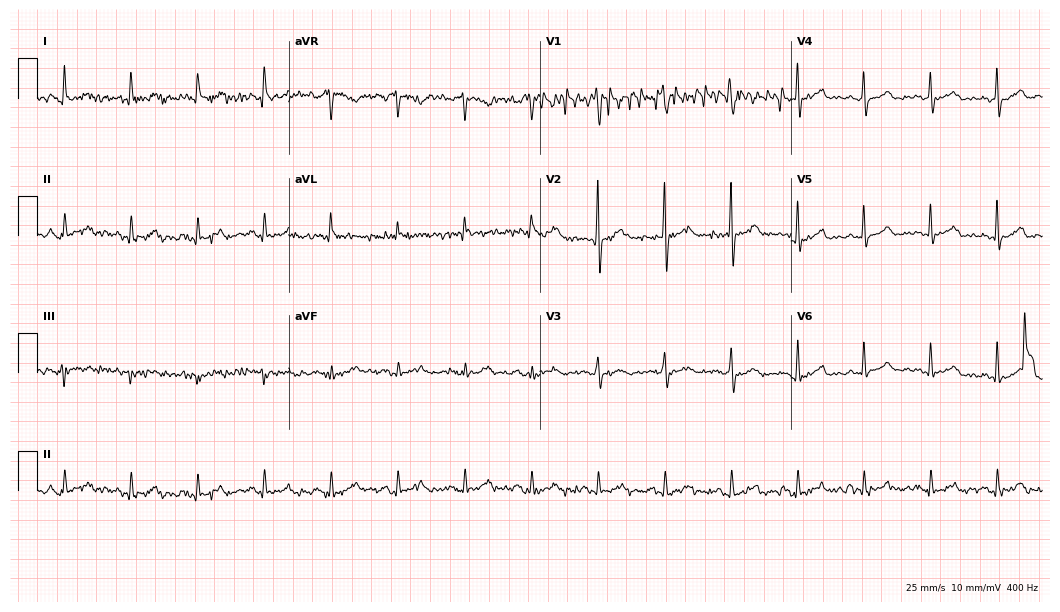
ECG — a male, 55 years old. Screened for six findings — first-degree AV block, right bundle branch block, left bundle branch block, sinus bradycardia, atrial fibrillation, sinus tachycardia — none is recorded.